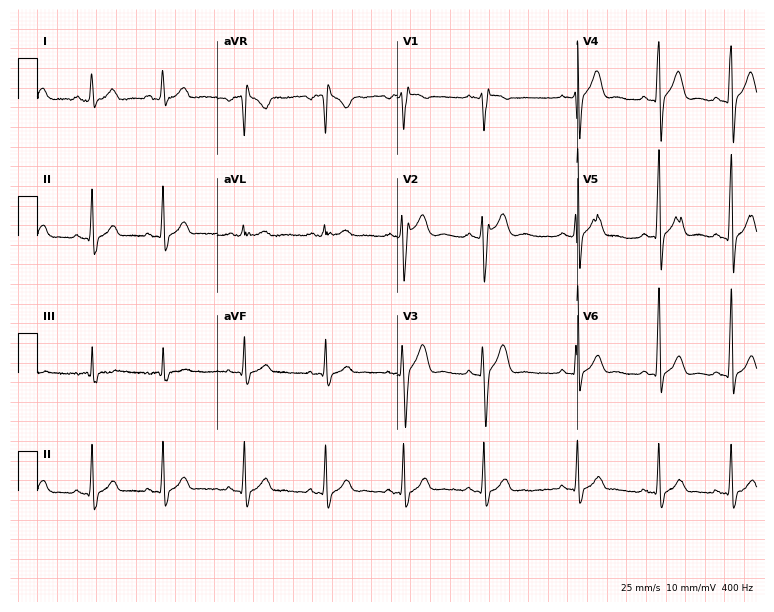
Standard 12-lead ECG recorded from a 20-year-old male. Read as a normal ECG.